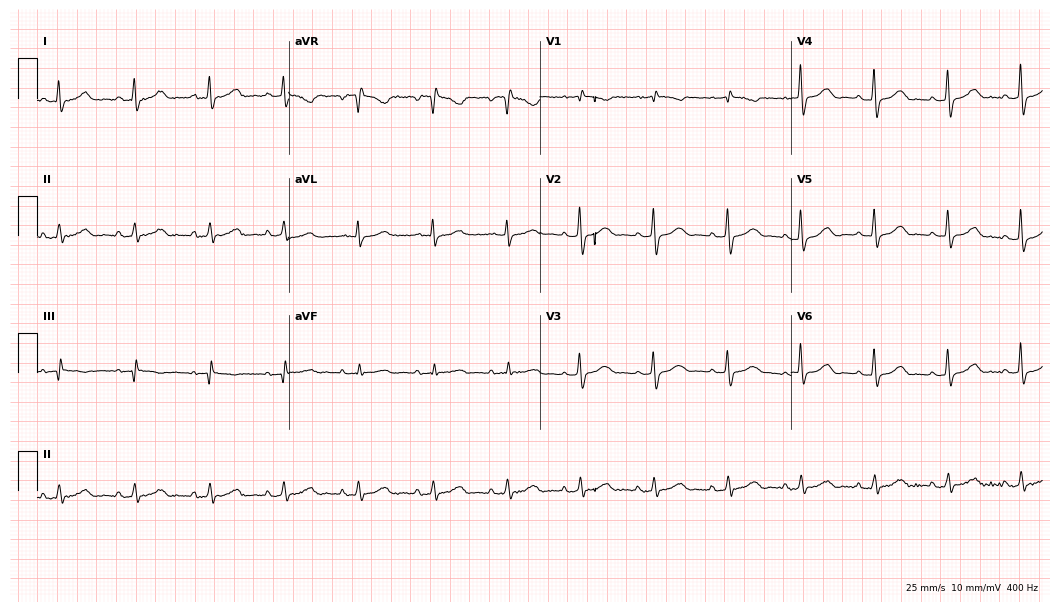
12-lead ECG from a 55-year-old woman. Screened for six findings — first-degree AV block, right bundle branch block, left bundle branch block, sinus bradycardia, atrial fibrillation, sinus tachycardia — none is recorded.